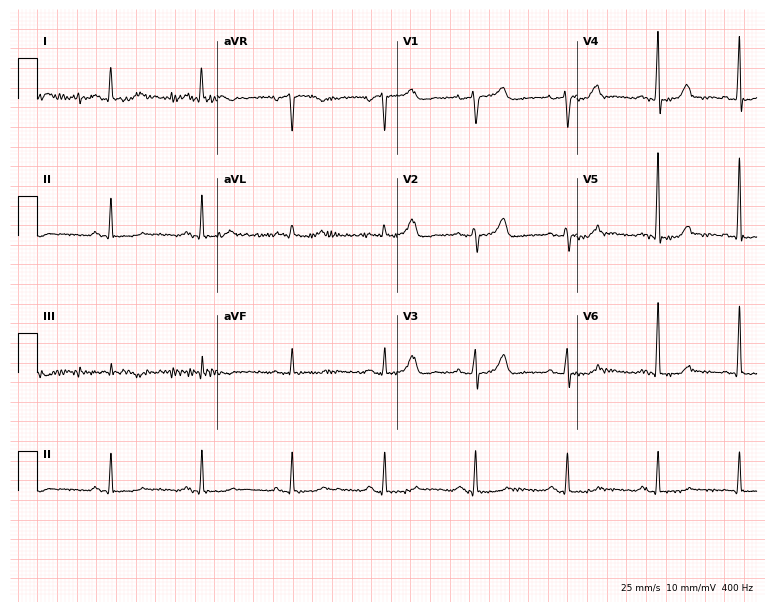
Standard 12-lead ECG recorded from a woman, 75 years old. None of these six findings is recorded: first-degree AV block, right bundle branch block, left bundle branch block, sinus bradycardia, atrial fibrillation, sinus tachycardia. Findings outside these six are not listed.